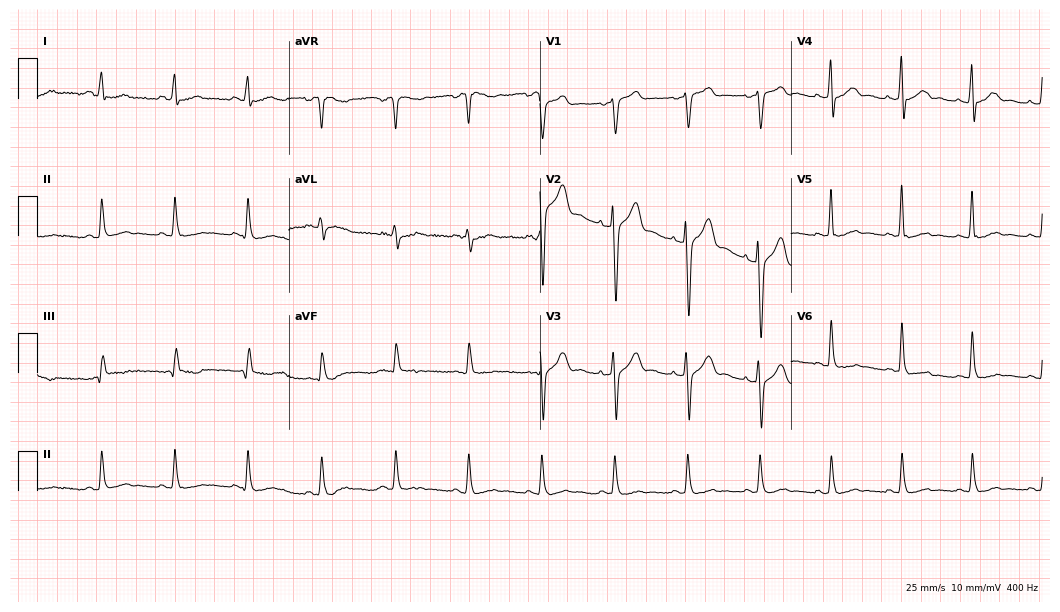
12-lead ECG from a 38-year-old male (10.2-second recording at 400 Hz). No first-degree AV block, right bundle branch block, left bundle branch block, sinus bradycardia, atrial fibrillation or sinus tachycardia recorded for this tracing. Other findings, if any, are not listed.